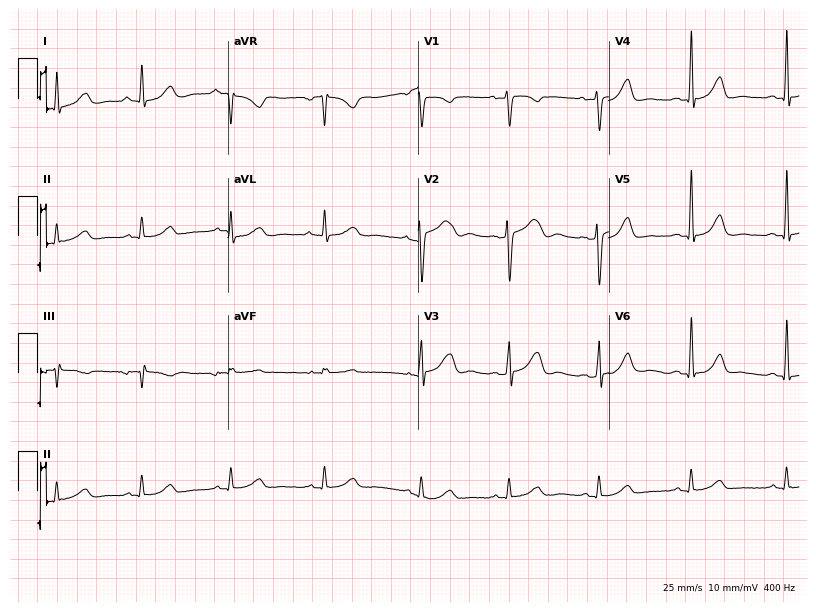
12-lead ECG from a female patient, 33 years old. Recorded interpretation: within normal limits.